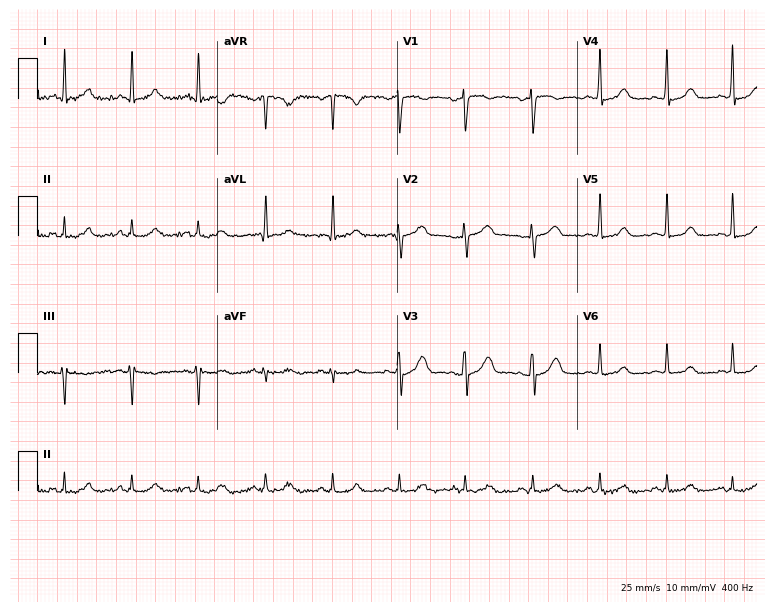
Standard 12-lead ECG recorded from a female patient, 43 years old. Read as a normal ECG.